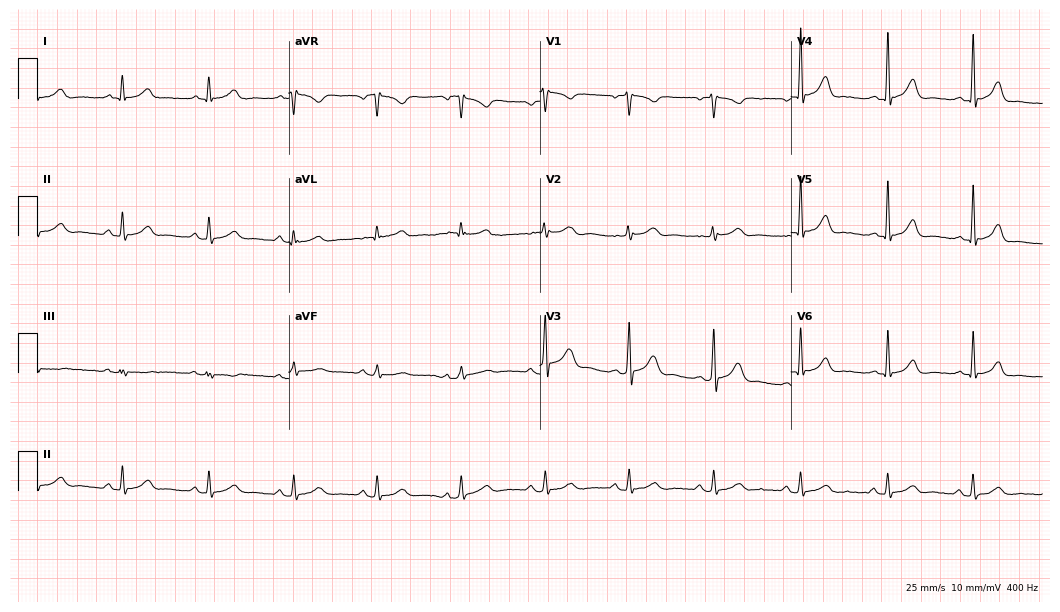
Electrocardiogram (10.2-second recording at 400 Hz), a 29-year-old female patient. Overall reading on record: normal ECG.